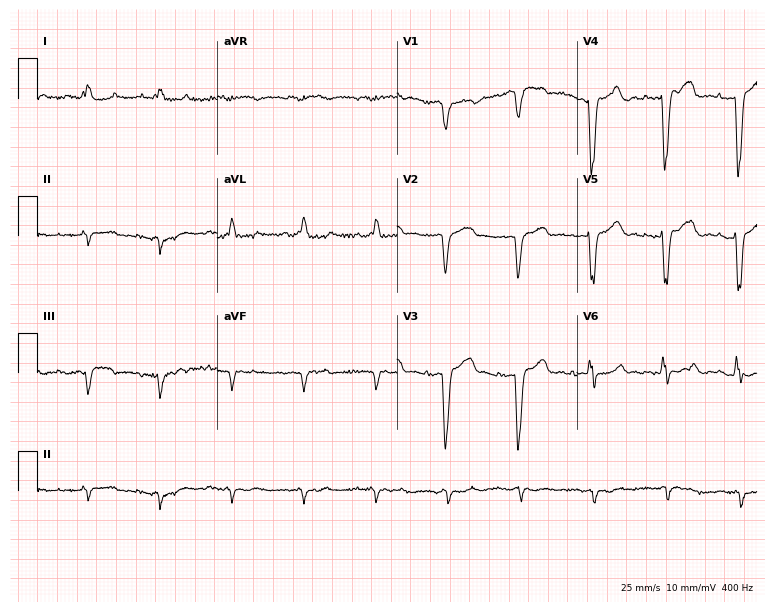
Standard 12-lead ECG recorded from a woman, 85 years old. None of these six findings is recorded: first-degree AV block, right bundle branch block (RBBB), left bundle branch block (LBBB), sinus bradycardia, atrial fibrillation (AF), sinus tachycardia. Findings outside these six are not listed.